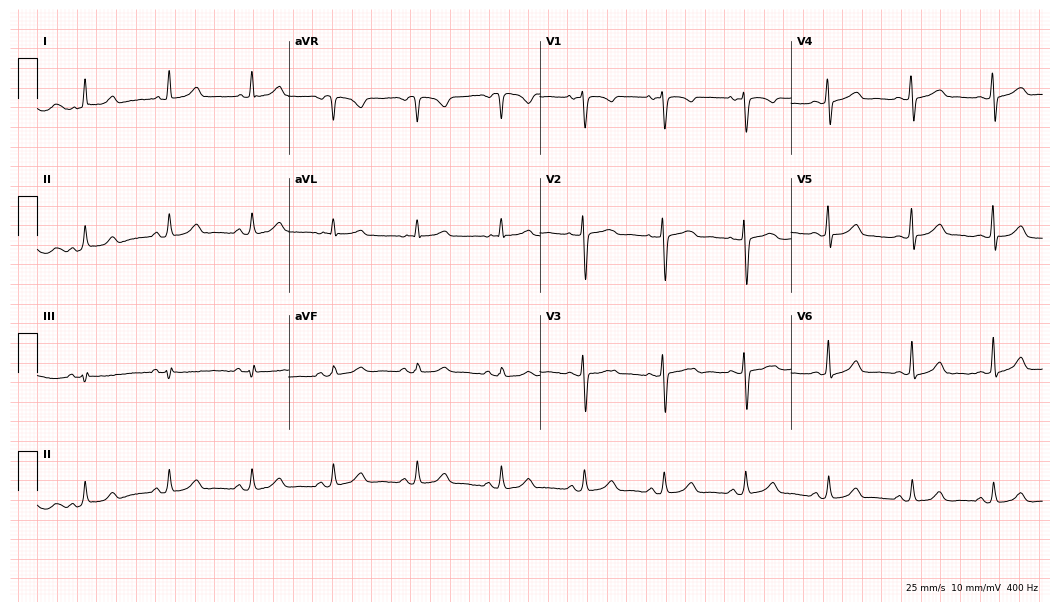
ECG (10.2-second recording at 400 Hz) — a 39-year-old woman. Screened for six findings — first-degree AV block, right bundle branch block, left bundle branch block, sinus bradycardia, atrial fibrillation, sinus tachycardia — none is recorded.